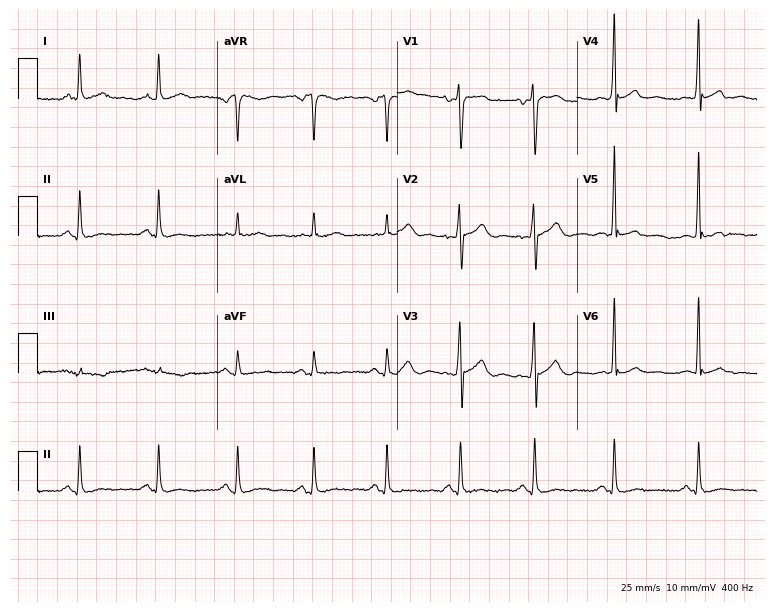
12-lead ECG from a 49-year-old man. No first-degree AV block, right bundle branch block, left bundle branch block, sinus bradycardia, atrial fibrillation or sinus tachycardia recorded for this tracing. Other findings, if any, are not listed.